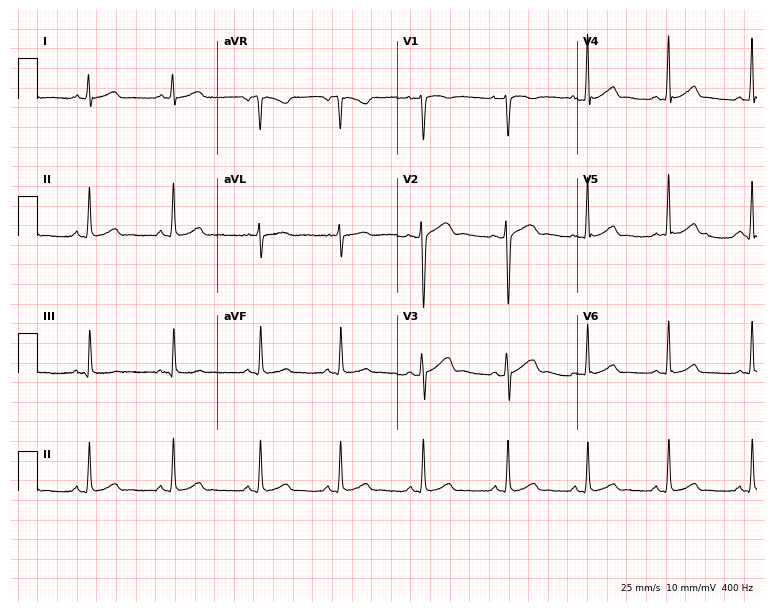
12-lead ECG from a 20-year-old woman. Labelled as a normal ECG.